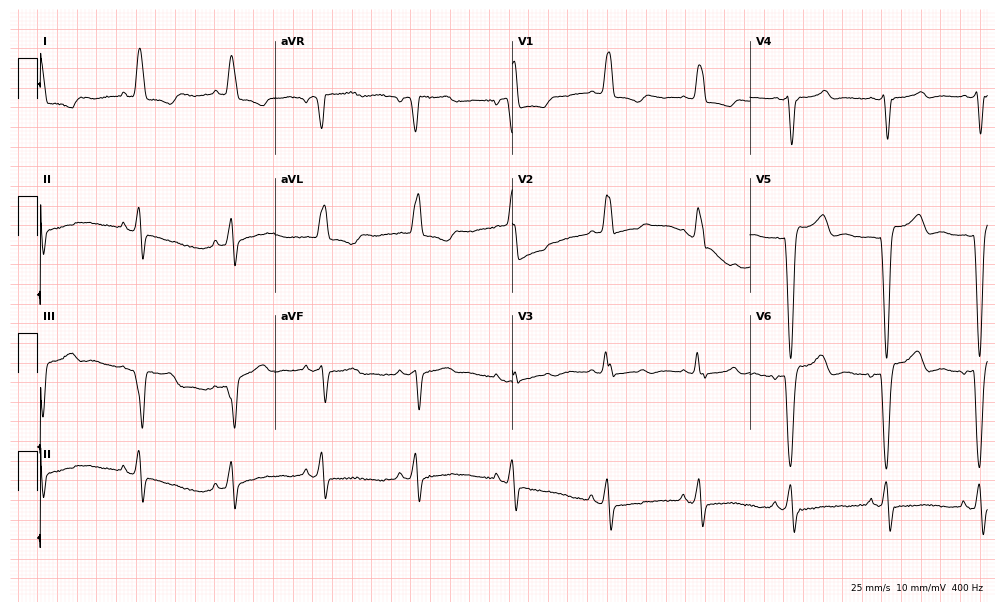
Standard 12-lead ECG recorded from a 73-year-old woman. None of these six findings is recorded: first-degree AV block, right bundle branch block (RBBB), left bundle branch block (LBBB), sinus bradycardia, atrial fibrillation (AF), sinus tachycardia.